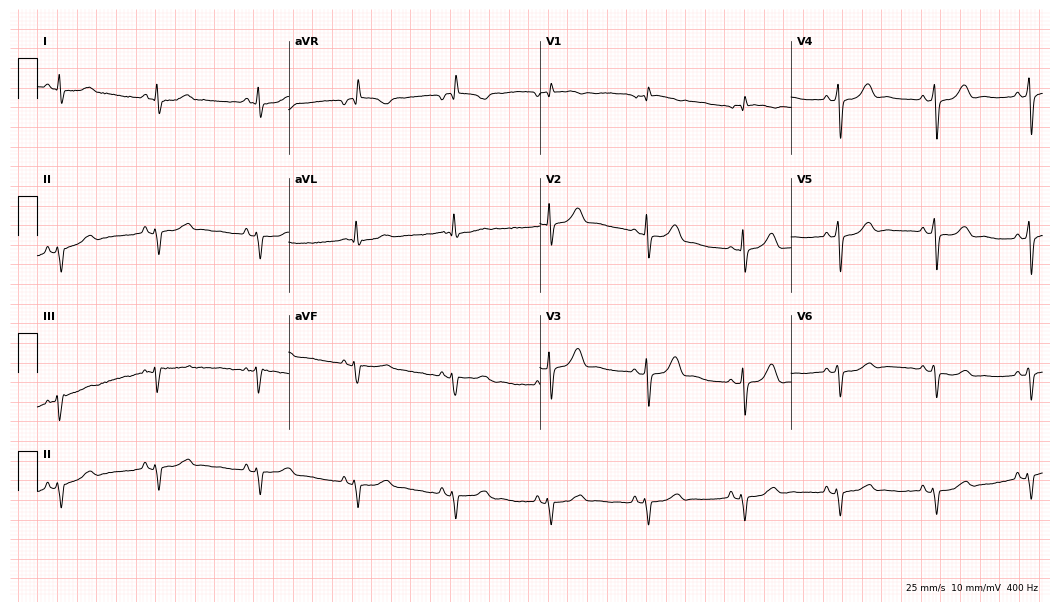
12-lead ECG from a female patient, 68 years old. No first-degree AV block, right bundle branch block (RBBB), left bundle branch block (LBBB), sinus bradycardia, atrial fibrillation (AF) or sinus tachycardia recorded for this tracing. Other findings, if any, are not listed.